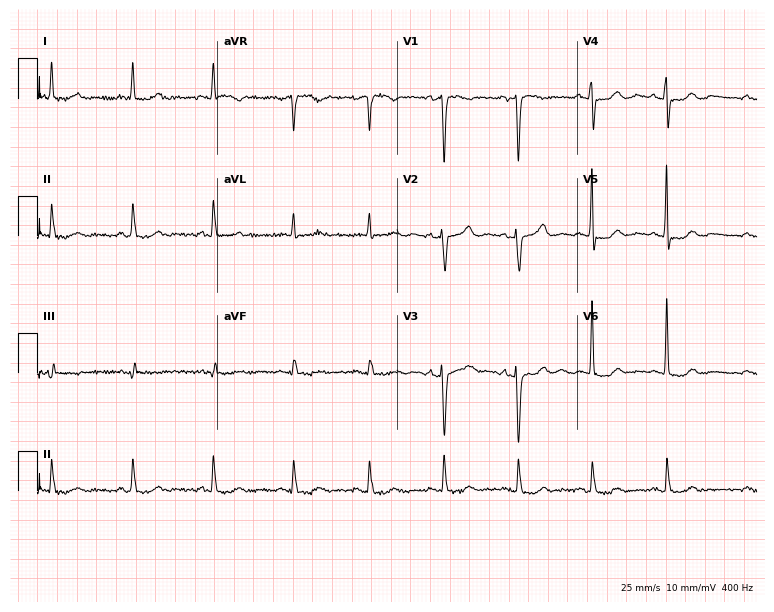
ECG — a woman, 80 years old. Screened for six findings — first-degree AV block, right bundle branch block, left bundle branch block, sinus bradycardia, atrial fibrillation, sinus tachycardia — none is recorded. Only these six findings were labelled.